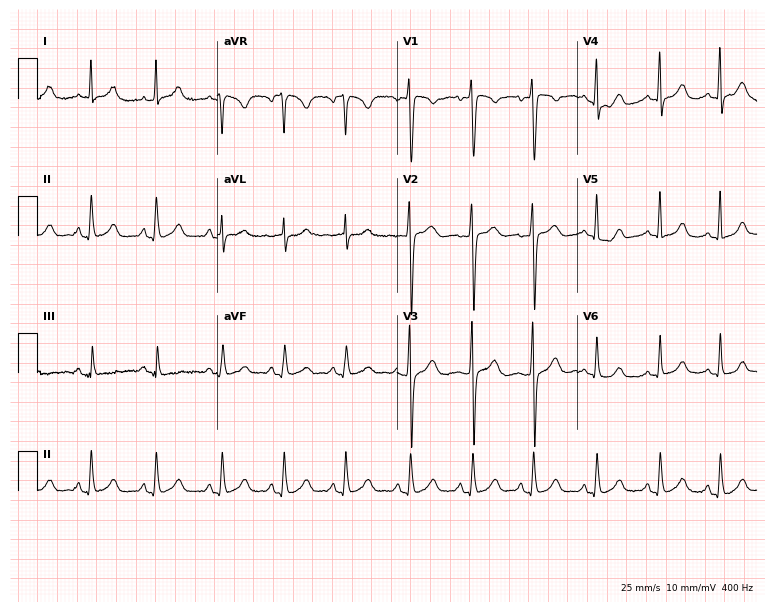
Electrocardiogram (7.3-second recording at 400 Hz), a woman, 26 years old. Of the six screened findings (first-degree AV block, right bundle branch block, left bundle branch block, sinus bradycardia, atrial fibrillation, sinus tachycardia), none is recorded.